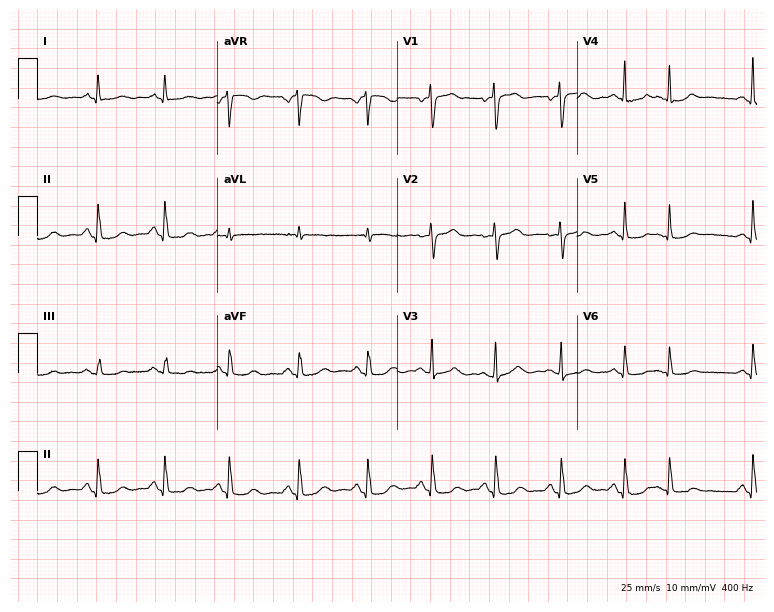
12-lead ECG from a 59-year-old man. Labelled as a normal ECG.